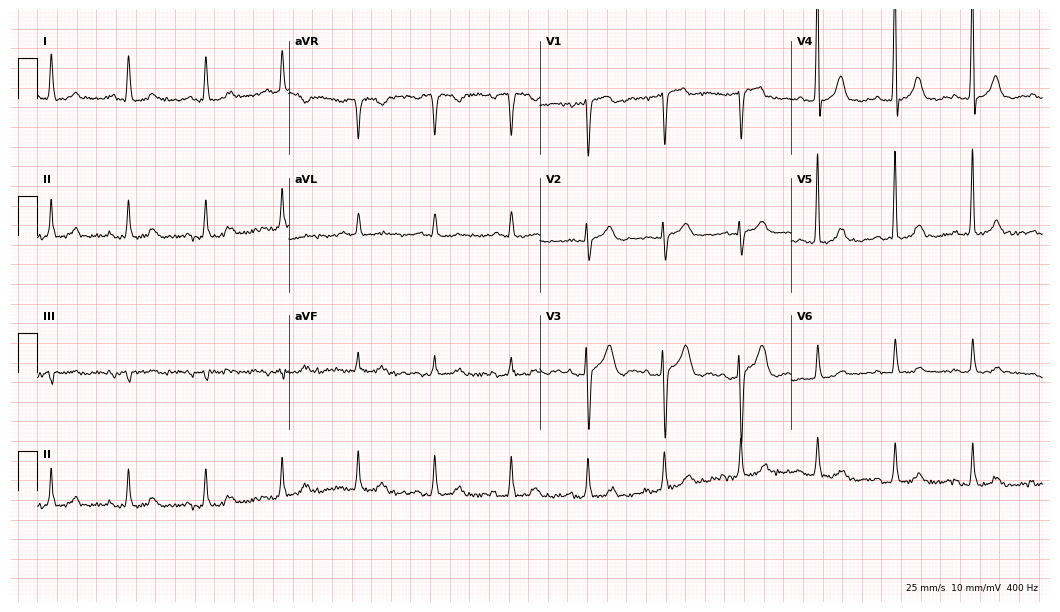
ECG (10.2-second recording at 400 Hz) — a woman, 84 years old. Screened for six findings — first-degree AV block, right bundle branch block, left bundle branch block, sinus bradycardia, atrial fibrillation, sinus tachycardia — none is recorded.